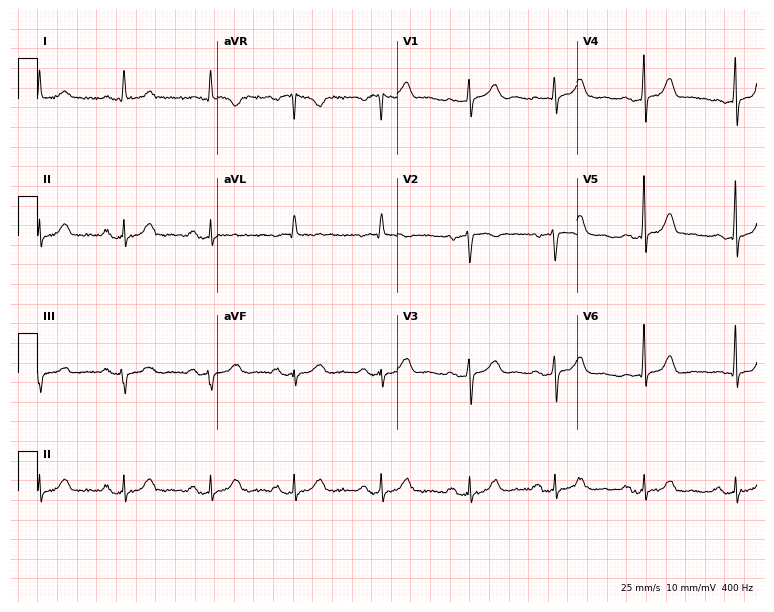
Resting 12-lead electrocardiogram (7.3-second recording at 400 Hz). Patient: a female, 69 years old. Read as a normal ECG.